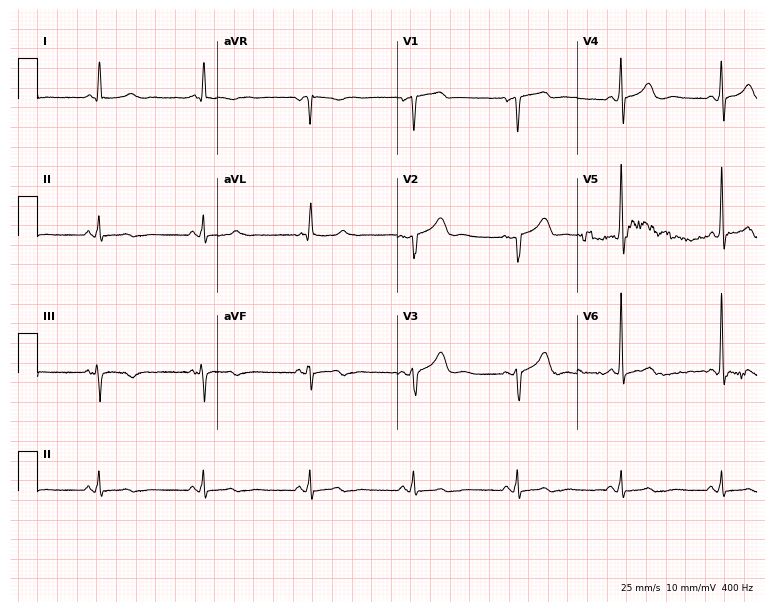
Resting 12-lead electrocardiogram. Patient: a female, 71 years old. None of these six findings is recorded: first-degree AV block, right bundle branch block (RBBB), left bundle branch block (LBBB), sinus bradycardia, atrial fibrillation (AF), sinus tachycardia. Findings outside these six are not listed.